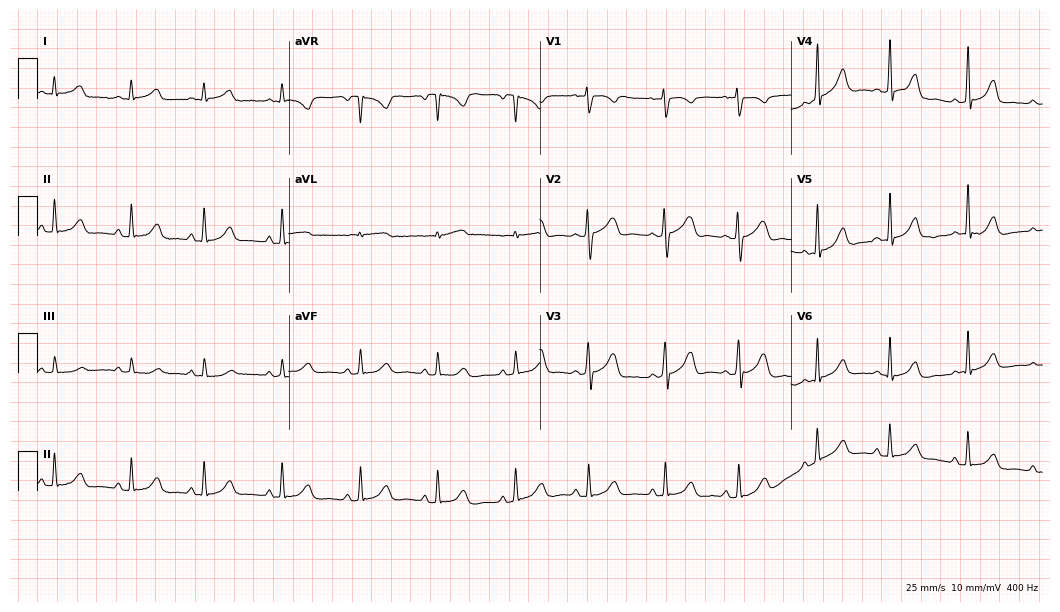
Electrocardiogram, a 40-year-old woman. Overall reading on record: normal ECG.